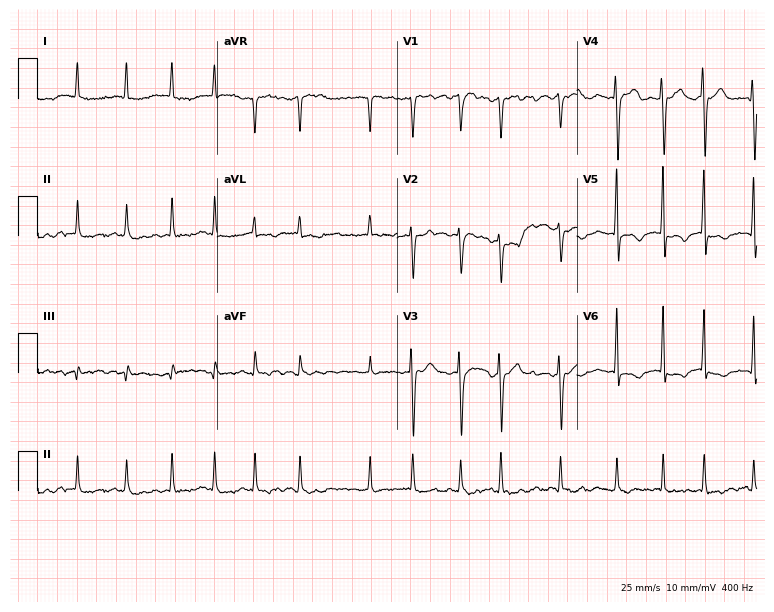
Resting 12-lead electrocardiogram. Patient: a female, 81 years old. The tracing shows atrial fibrillation (AF).